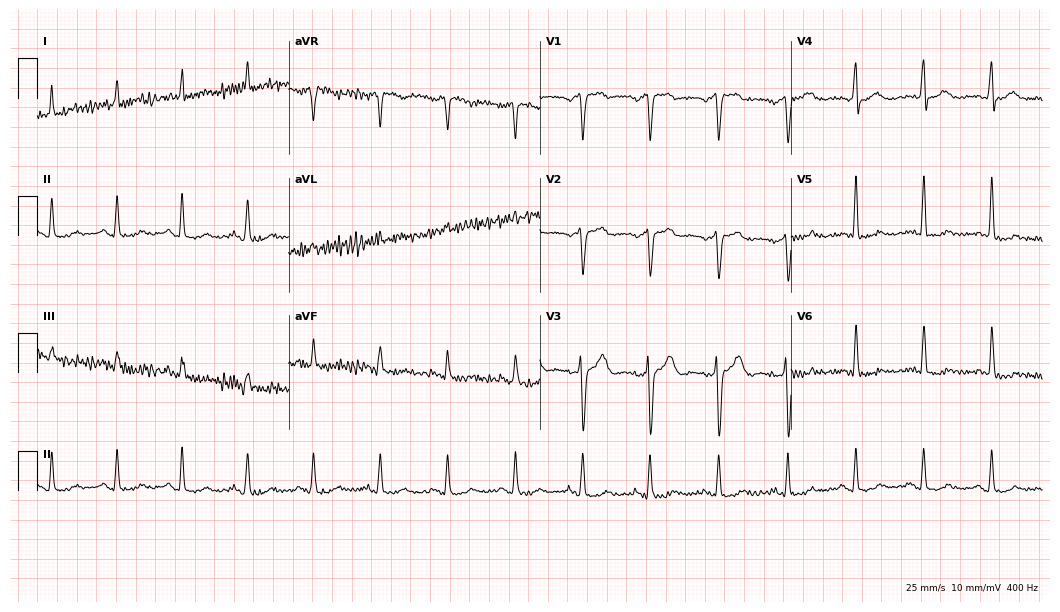
Resting 12-lead electrocardiogram (10.2-second recording at 400 Hz). Patient: a male, 70 years old. Read as a normal ECG.